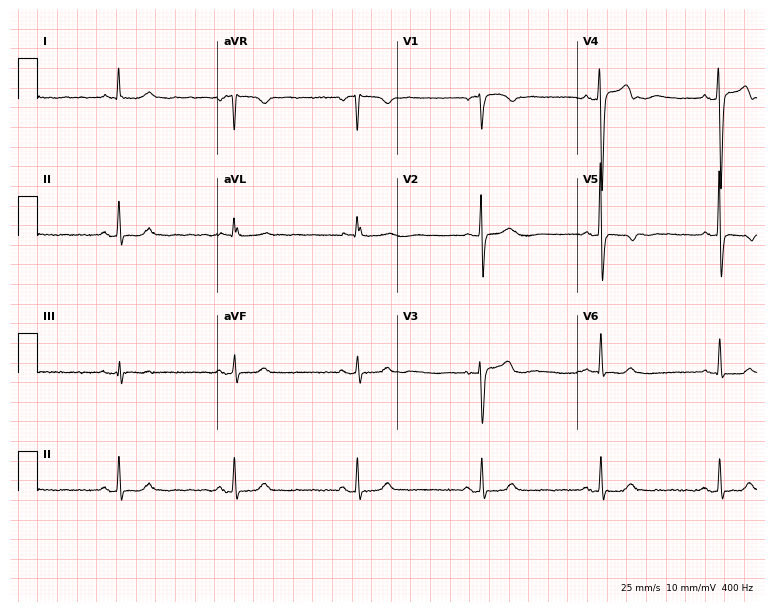
Standard 12-lead ECG recorded from a female patient, 72 years old (7.3-second recording at 400 Hz). None of these six findings is recorded: first-degree AV block, right bundle branch block, left bundle branch block, sinus bradycardia, atrial fibrillation, sinus tachycardia. Other findings, if any, are not listed.